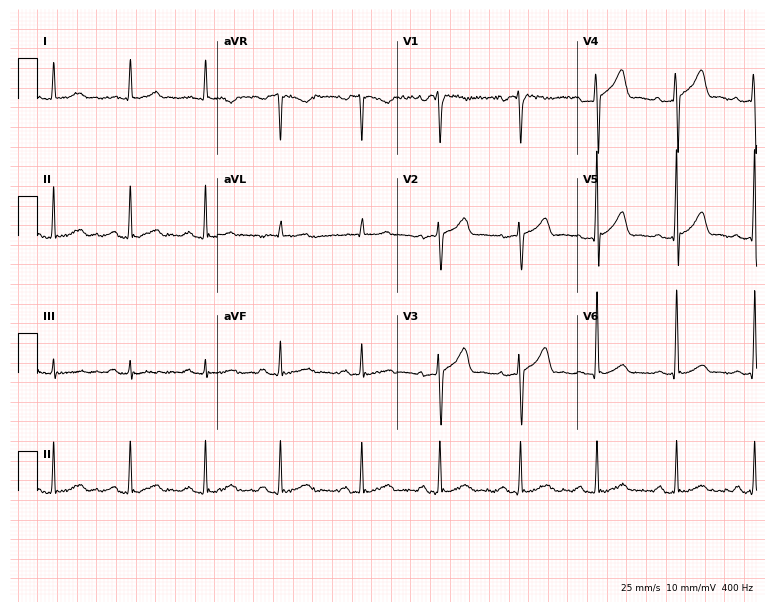
Resting 12-lead electrocardiogram. Patient: a 65-year-old man. Read as a normal ECG.